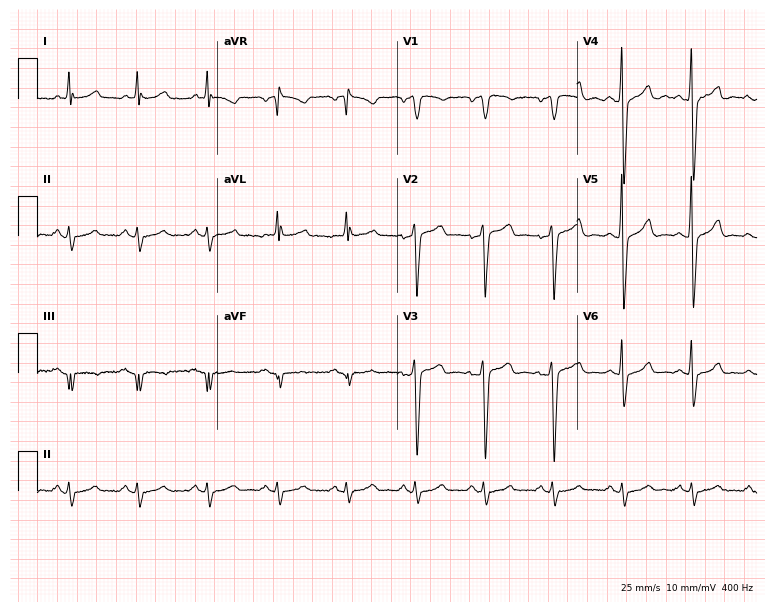
Resting 12-lead electrocardiogram. Patient: a 59-year-old female. None of these six findings is recorded: first-degree AV block, right bundle branch block, left bundle branch block, sinus bradycardia, atrial fibrillation, sinus tachycardia.